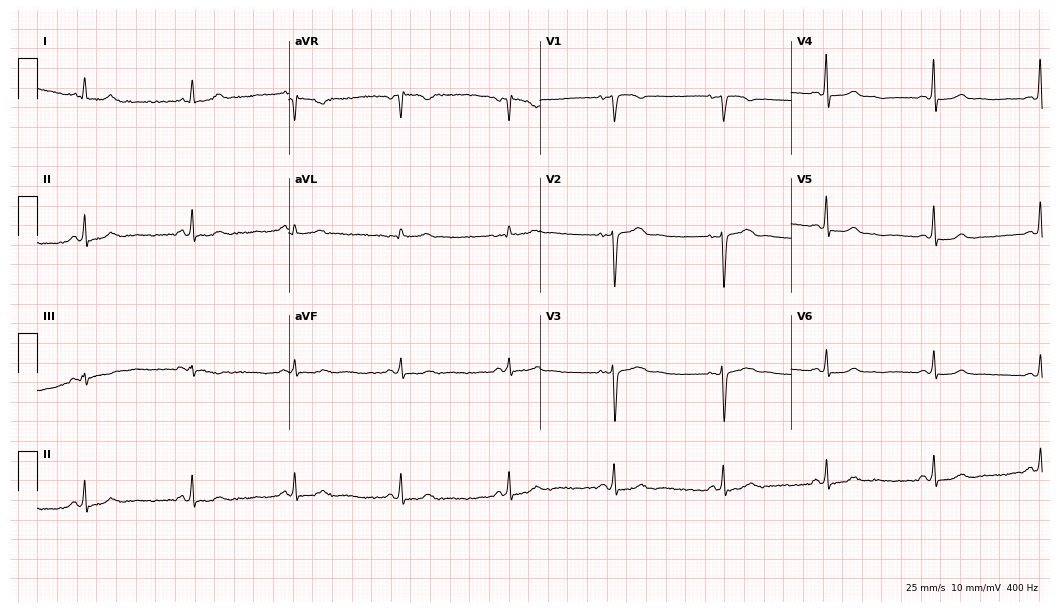
12-lead ECG (10.2-second recording at 400 Hz) from a female, 46 years old. Labelled as a normal ECG.